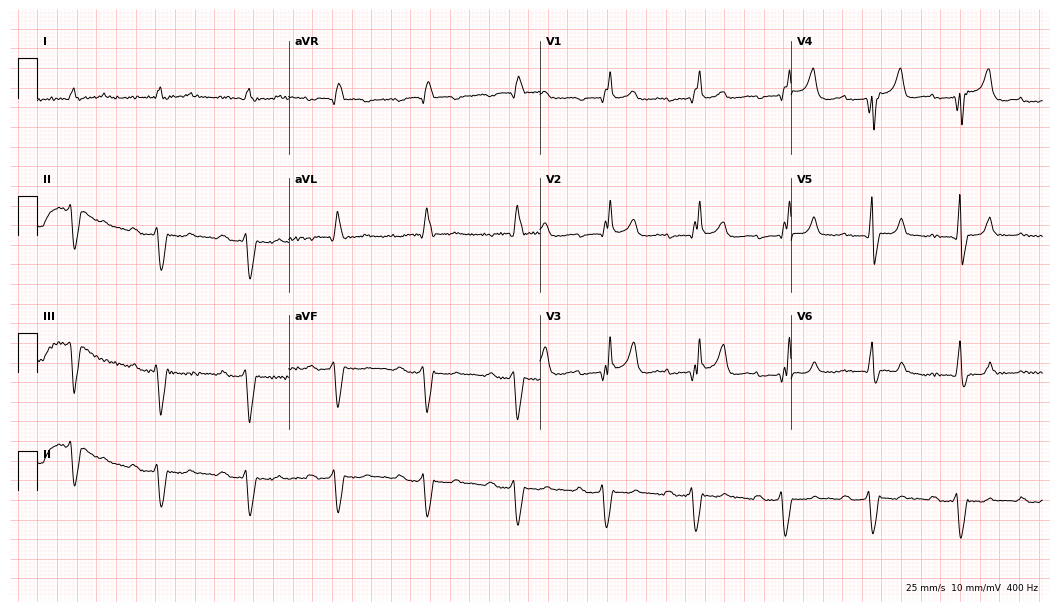
ECG — a 79-year-old male. Screened for six findings — first-degree AV block, right bundle branch block, left bundle branch block, sinus bradycardia, atrial fibrillation, sinus tachycardia — none is recorded.